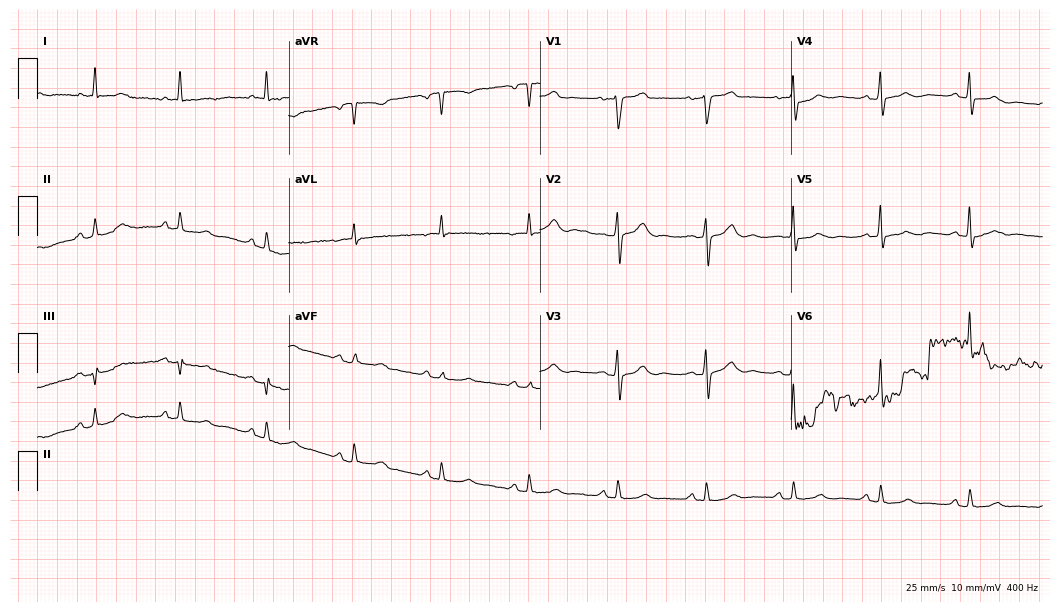
ECG (10.2-second recording at 400 Hz) — a male, 83 years old. Screened for six findings — first-degree AV block, right bundle branch block, left bundle branch block, sinus bradycardia, atrial fibrillation, sinus tachycardia — none is recorded.